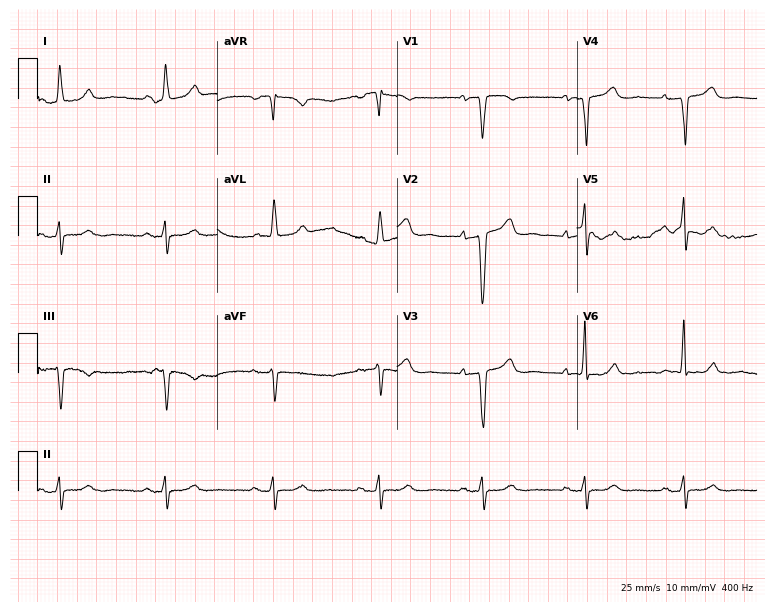
Electrocardiogram, a female patient, 69 years old. Of the six screened findings (first-degree AV block, right bundle branch block, left bundle branch block, sinus bradycardia, atrial fibrillation, sinus tachycardia), none is recorded. Other findings, if any, are not listed.